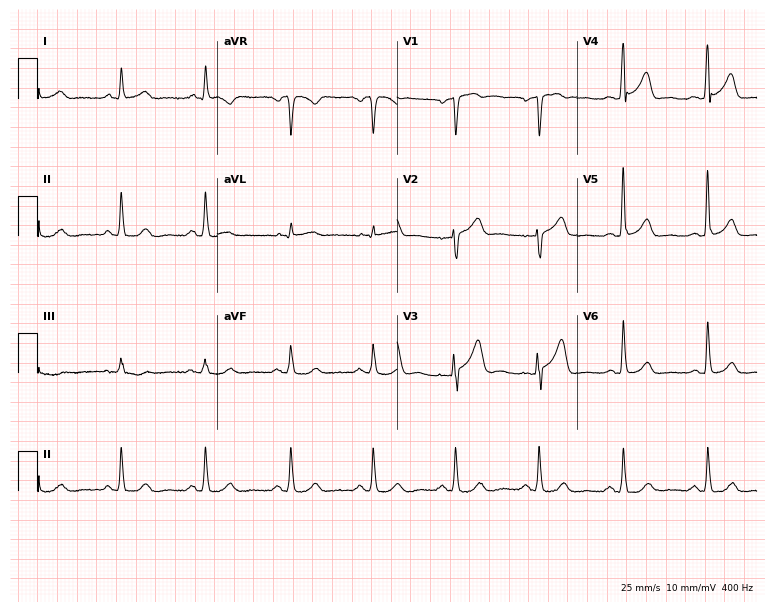
Electrocardiogram, a 50-year-old man. Of the six screened findings (first-degree AV block, right bundle branch block, left bundle branch block, sinus bradycardia, atrial fibrillation, sinus tachycardia), none is recorded.